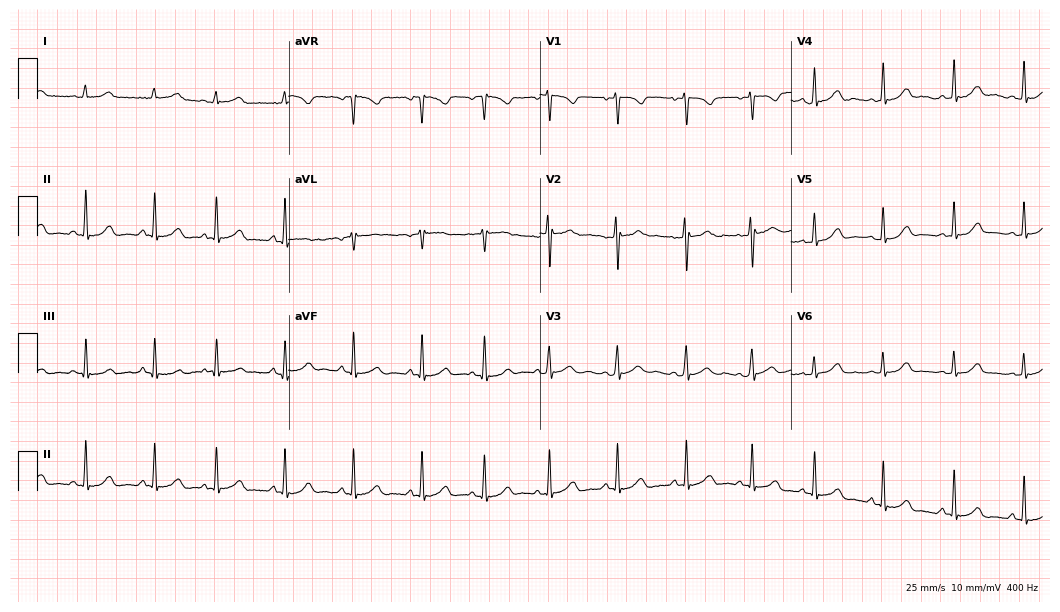
Resting 12-lead electrocardiogram (10.2-second recording at 400 Hz). Patient: a woman, 17 years old. Read as a normal ECG.